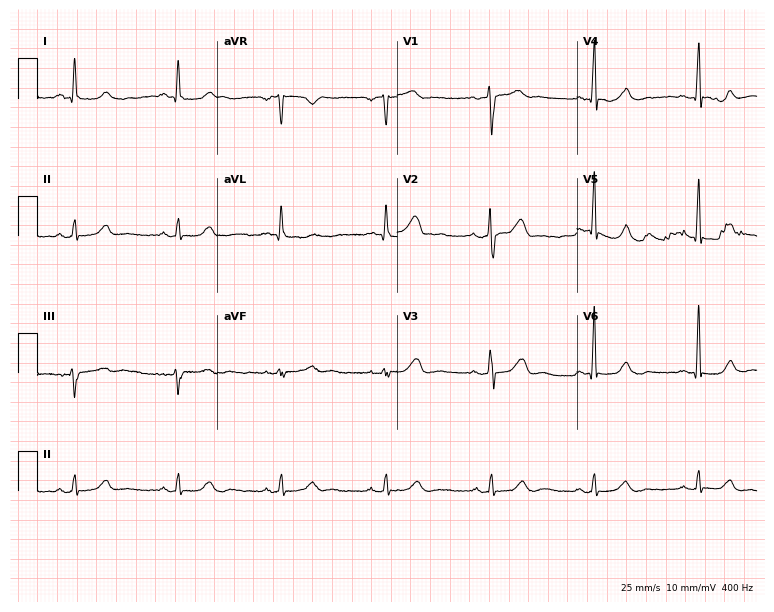
Electrocardiogram (7.3-second recording at 400 Hz), a 53-year-old woman. Overall reading on record: normal ECG.